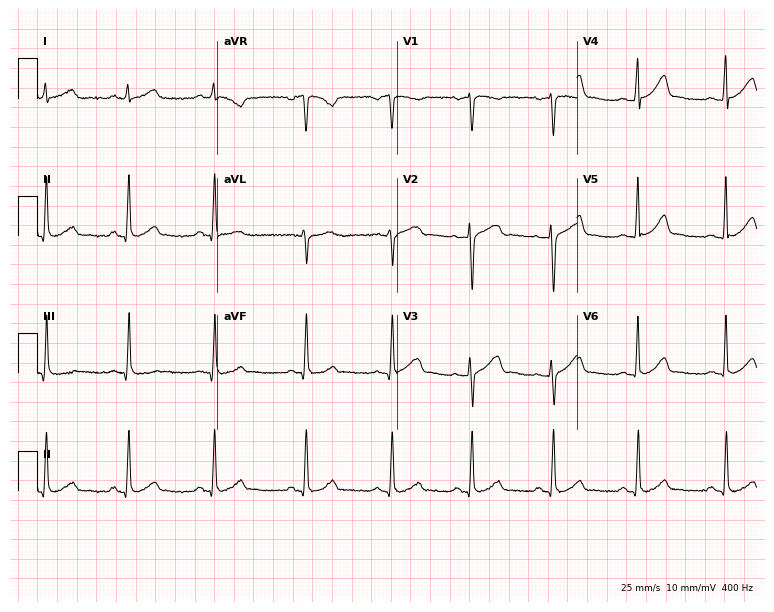
Resting 12-lead electrocardiogram. Patient: a 40-year-old female. Read as a normal ECG.